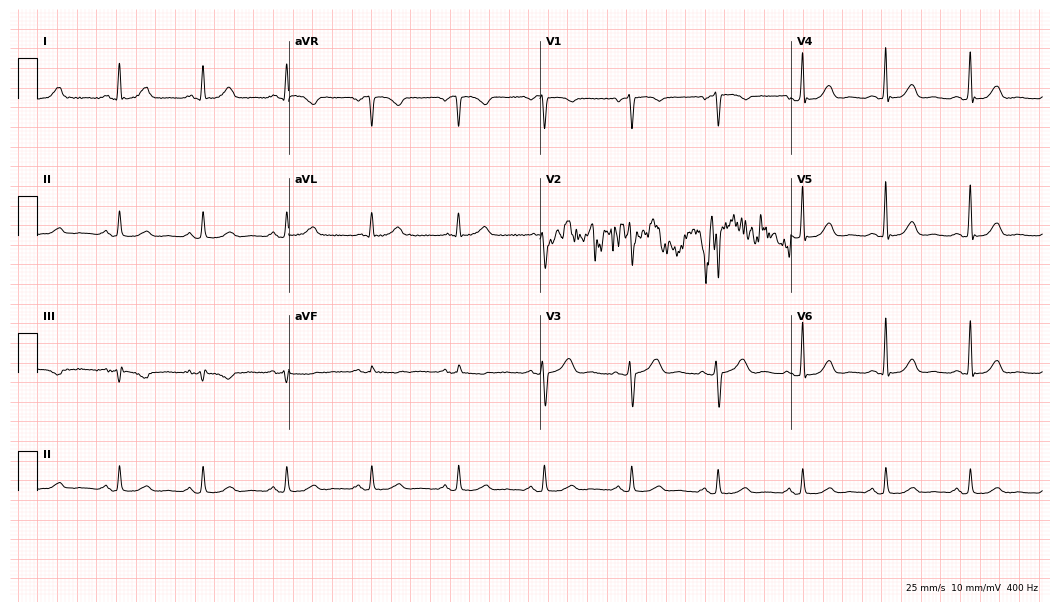
12-lead ECG from a 49-year-old female patient. Labelled as a normal ECG.